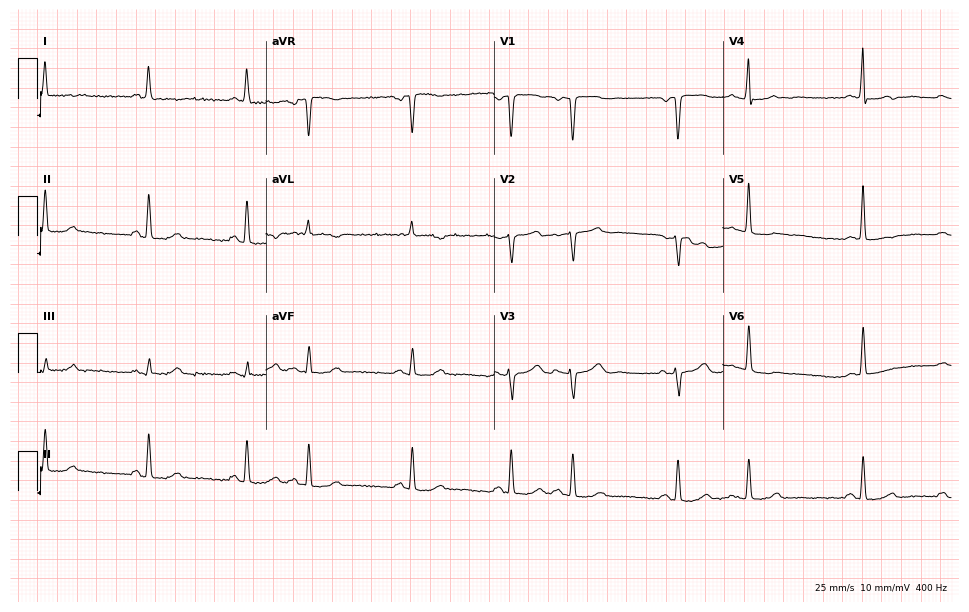
ECG (9.3-second recording at 400 Hz) — a woman, 74 years old. Screened for six findings — first-degree AV block, right bundle branch block (RBBB), left bundle branch block (LBBB), sinus bradycardia, atrial fibrillation (AF), sinus tachycardia — none is recorded. Findings outside these six are not listed.